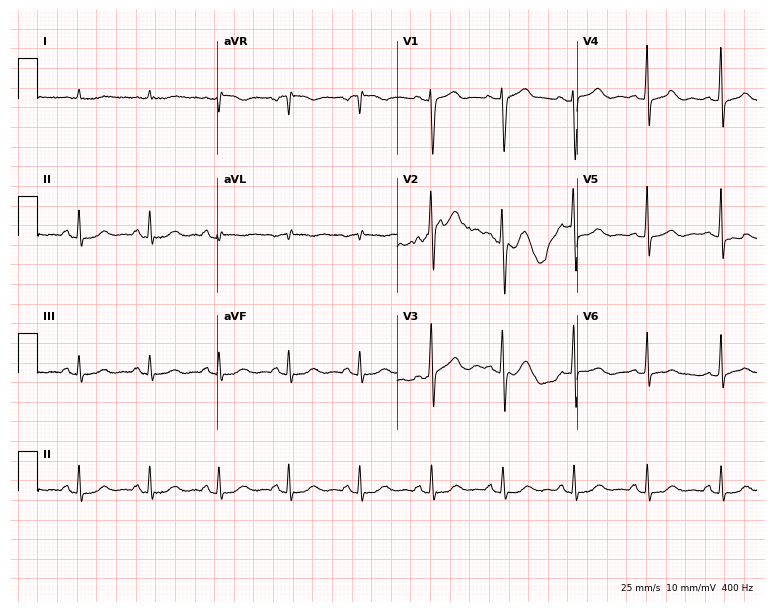
Resting 12-lead electrocardiogram (7.3-second recording at 400 Hz). Patient: a male, 66 years old. None of these six findings is recorded: first-degree AV block, right bundle branch block, left bundle branch block, sinus bradycardia, atrial fibrillation, sinus tachycardia. Findings outside these six are not listed.